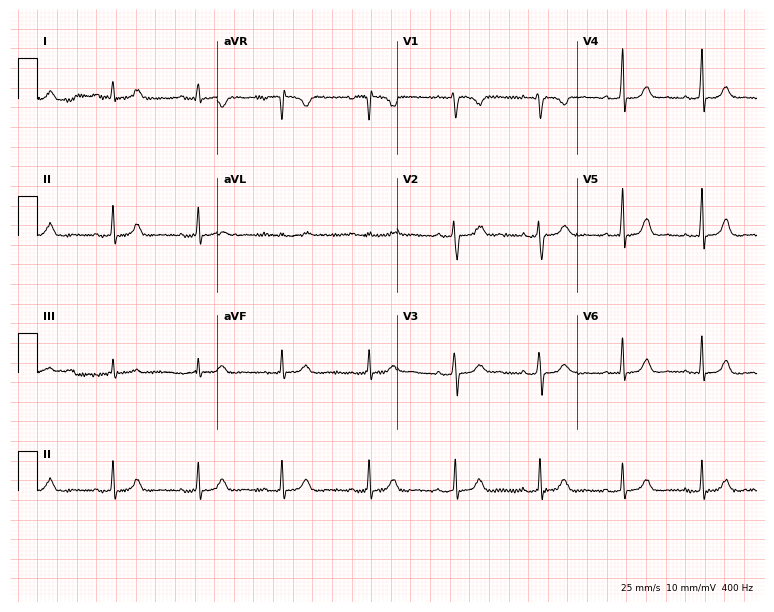
12-lead ECG from a 23-year-old female. Findings include first-degree AV block.